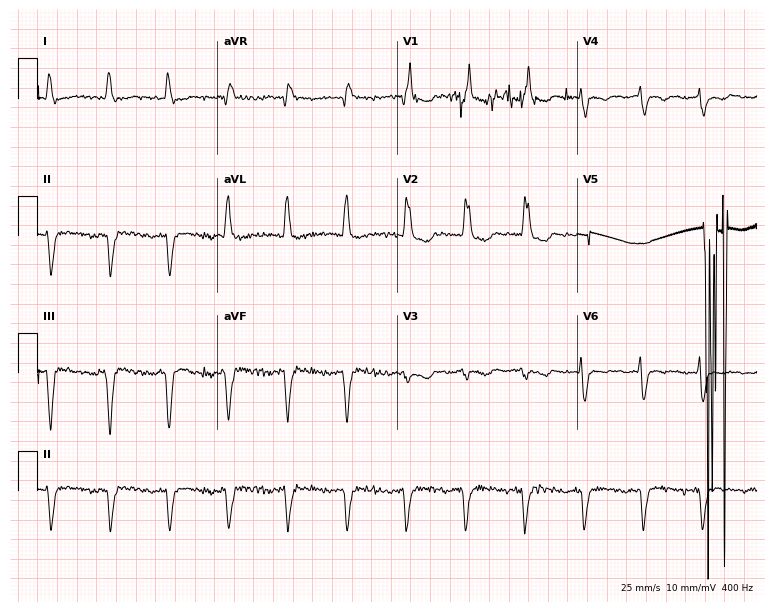
Standard 12-lead ECG recorded from a 77-year-old man (7.3-second recording at 400 Hz). None of these six findings is recorded: first-degree AV block, right bundle branch block, left bundle branch block, sinus bradycardia, atrial fibrillation, sinus tachycardia. Other findings, if any, are not listed.